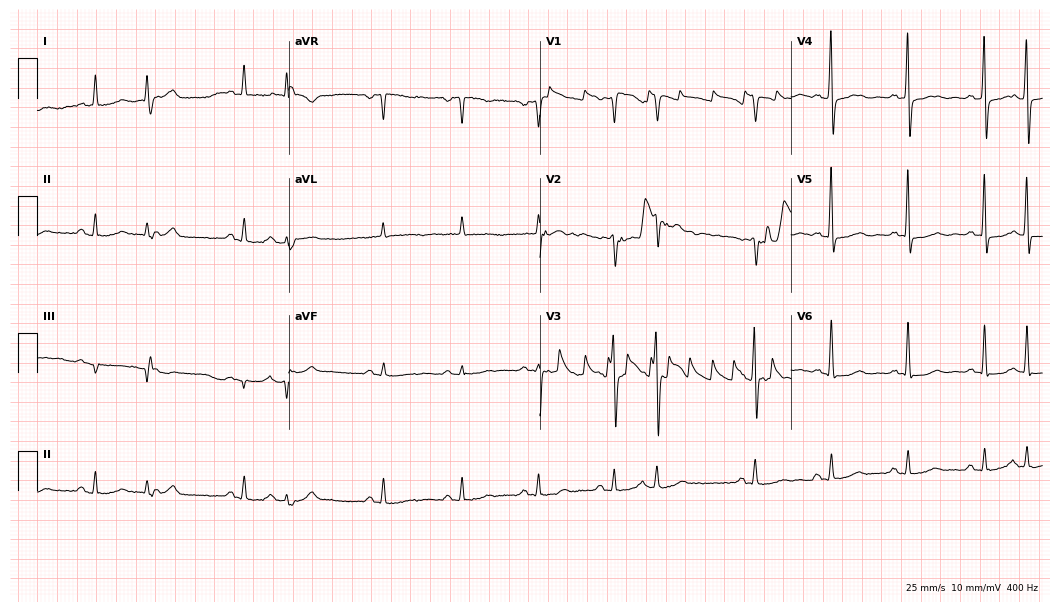
Electrocardiogram (10.2-second recording at 400 Hz), an 81-year-old male. Of the six screened findings (first-degree AV block, right bundle branch block, left bundle branch block, sinus bradycardia, atrial fibrillation, sinus tachycardia), none is recorded. Findings outside these six are not listed.